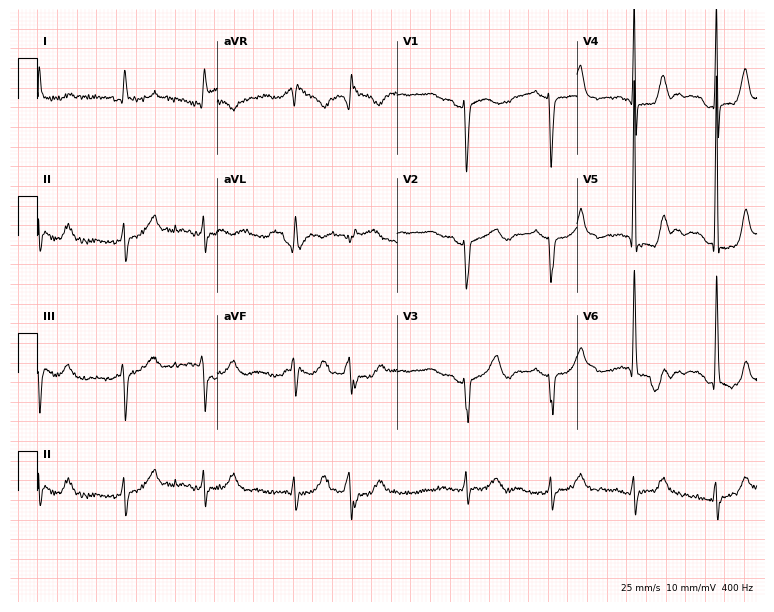
12-lead ECG (7.3-second recording at 400 Hz) from a female patient, 76 years old. Screened for six findings — first-degree AV block, right bundle branch block (RBBB), left bundle branch block (LBBB), sinus bradycardia, atrial fibrillation (AF), sinus tachycardia — none is recorded. Other findings, if any, are not listed.